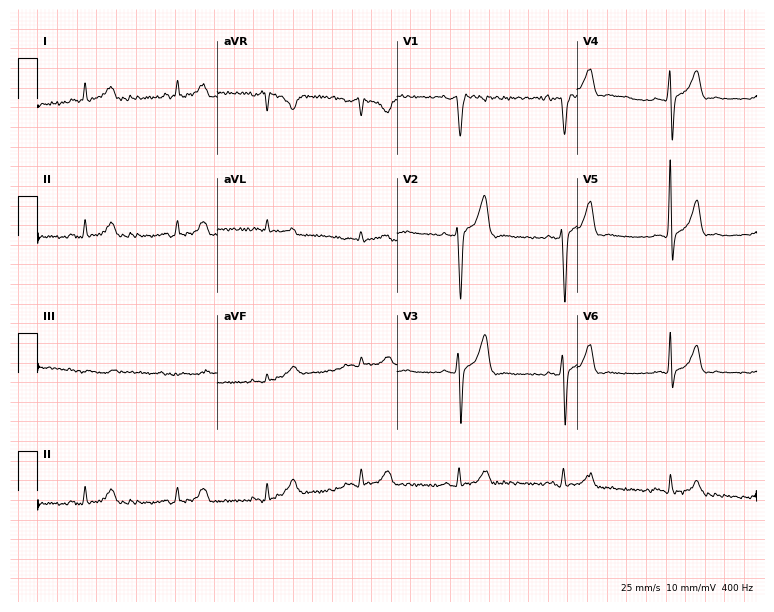
Electrocardiogram (7.3-second recording at 400 Hz), a male patient, 54 years old. Of the six screened findings (first-degree AV block, right bundle branch block, left bundle branch block, sinus bradycardia, atrial fibrillation, sinus tachycardia), none is recorded.